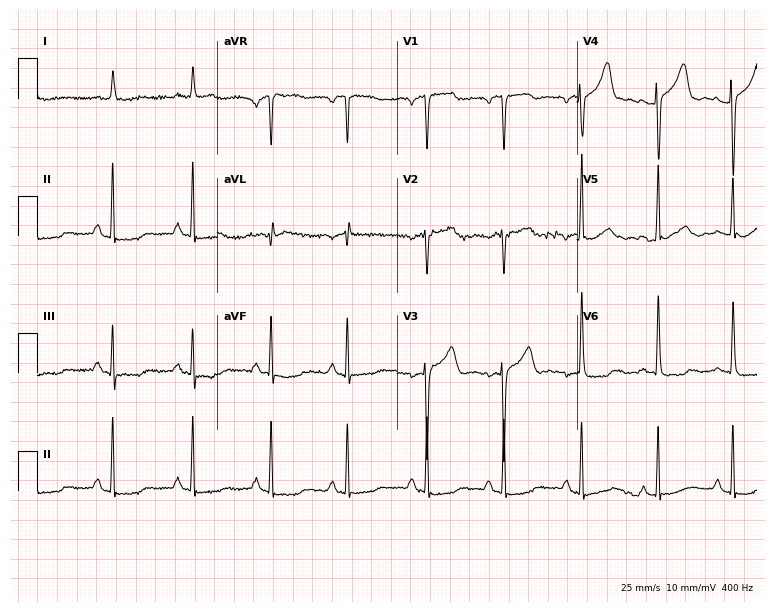
Electrocardiogram (7.3-second recording at 400 Hz), a woman, 79 years old. Of the six screened findings (first-degree AV block, right bundle branch block (RBBB), left bundle branch block (LBBB), sinus bradycardia, atrial fibrillation (AF), sinus tachycardia), none is recorded. Findings outside these six are not listed.